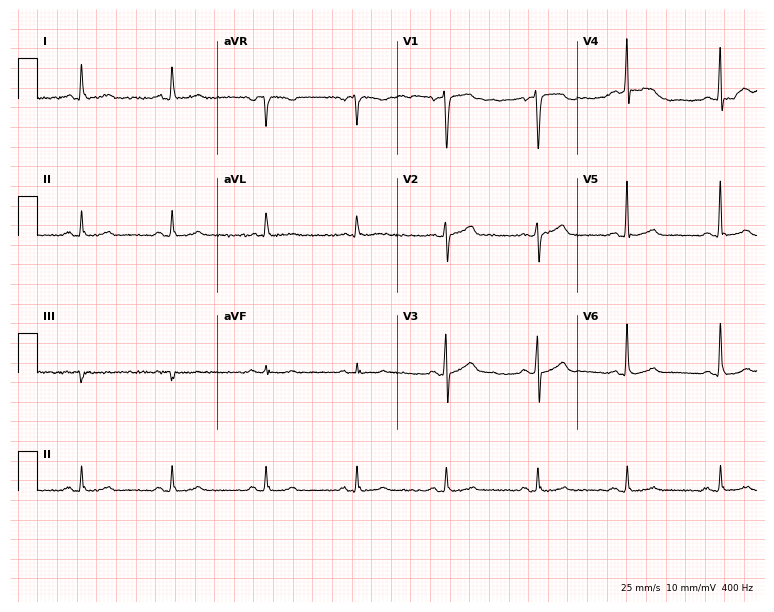
Resting 12-lead electrocardiogram. Patient: a 50-year-old male. Read as a normal ECG.